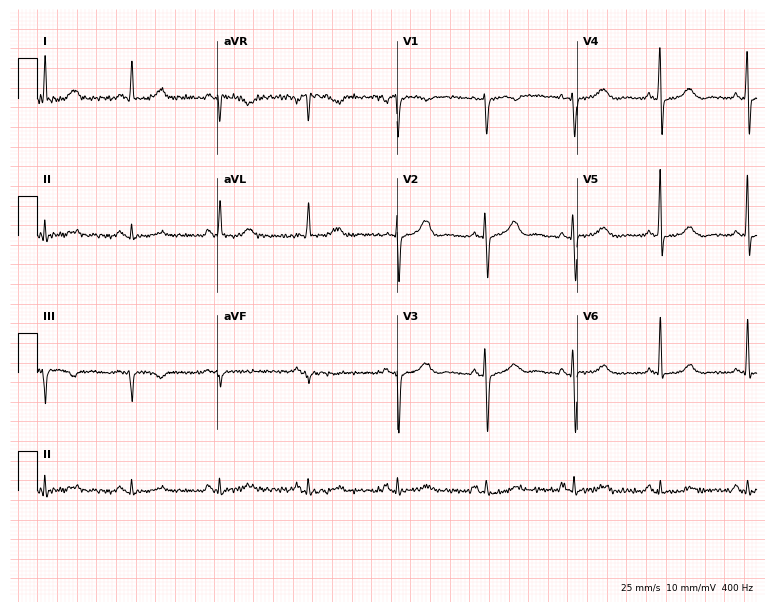
12-lead ECG from a female patient, 69 years old (7.3-second recording at 400 Hz). Recorded interpretation: within normal limits.